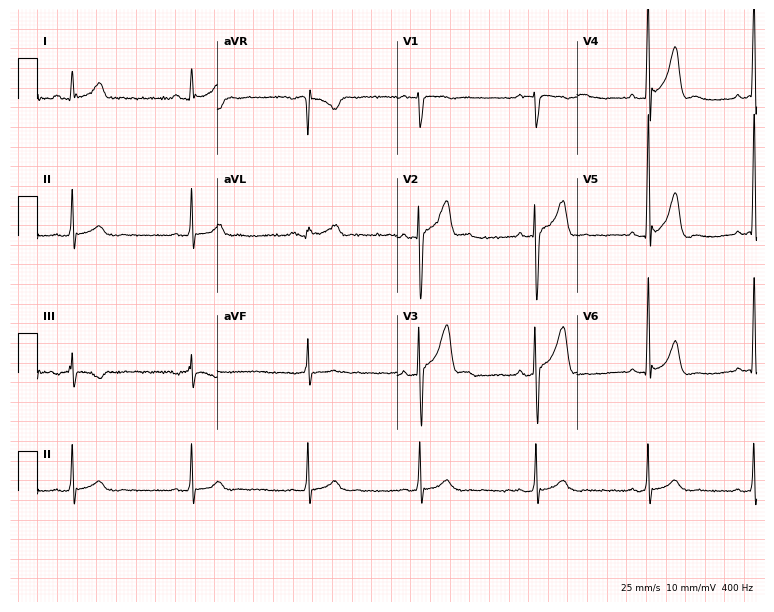
Electrocardiogram, a man, 34 years old. Of the six screened findings (first-degree AV block, right bundle branch block, left bundle branch block, sinus bradycardia, atrial fibrillation, sinus tachycardia), none is recorded. Other findings, if any, are not listed.